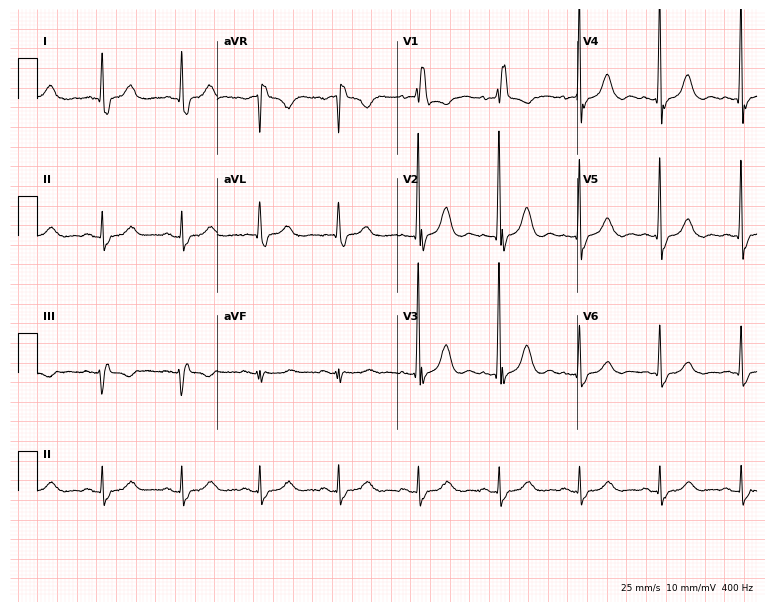
Standard 12-lead ECG recorded from a male patient, 75 years old (7.3-second recording at 400 Hz). None of these six findings is recorded: first-degree AV block, right bundle branch block, left bundle branch block, sinus bradycardia, atrial fibrillation, sinus tachycardia. Findings outside these six are not listed.